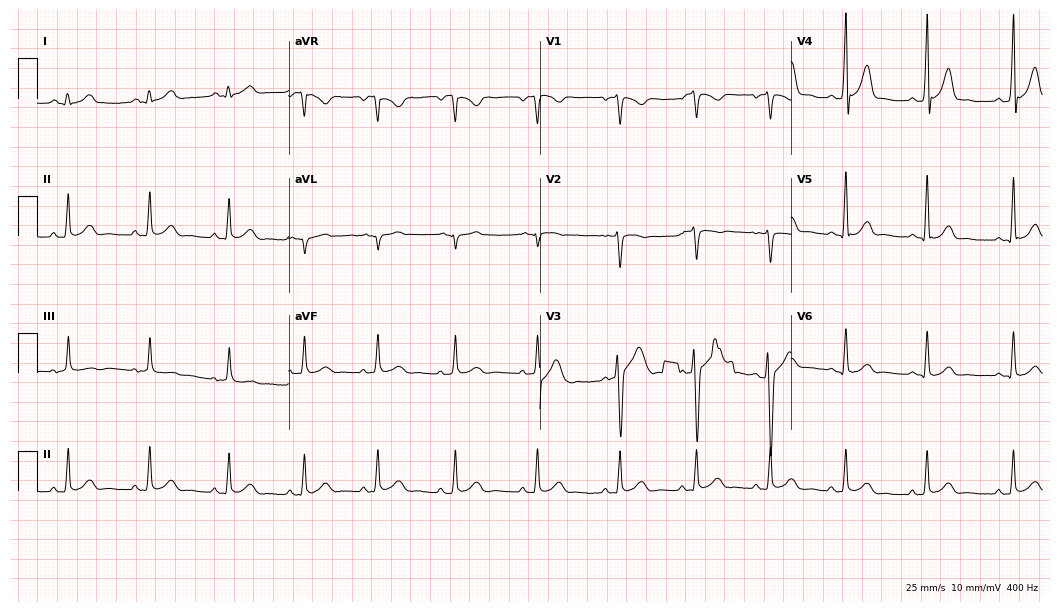
ECG — a 22-year-old male patient. Labelled as a normal ECG.